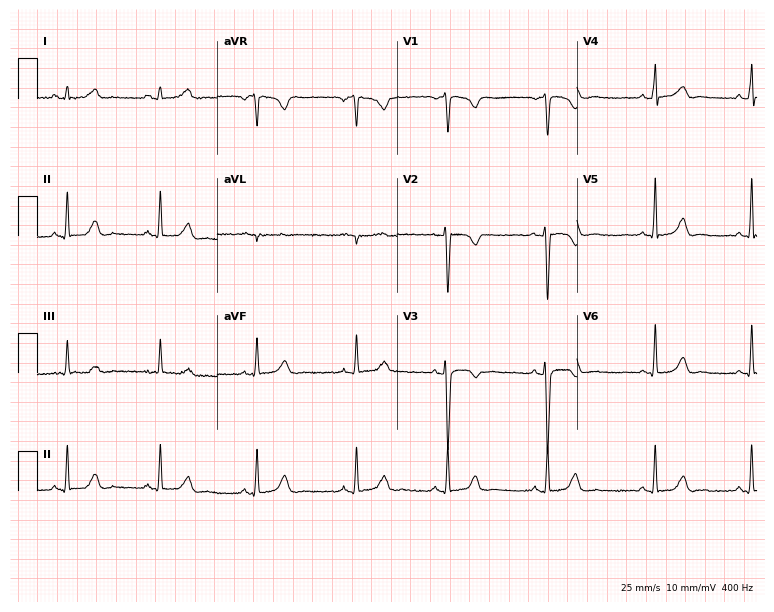
Electrocardiogram (7.3-second recording at 400 Hz), a 29-year-old female patient. Overall reading on record: normal ECG.